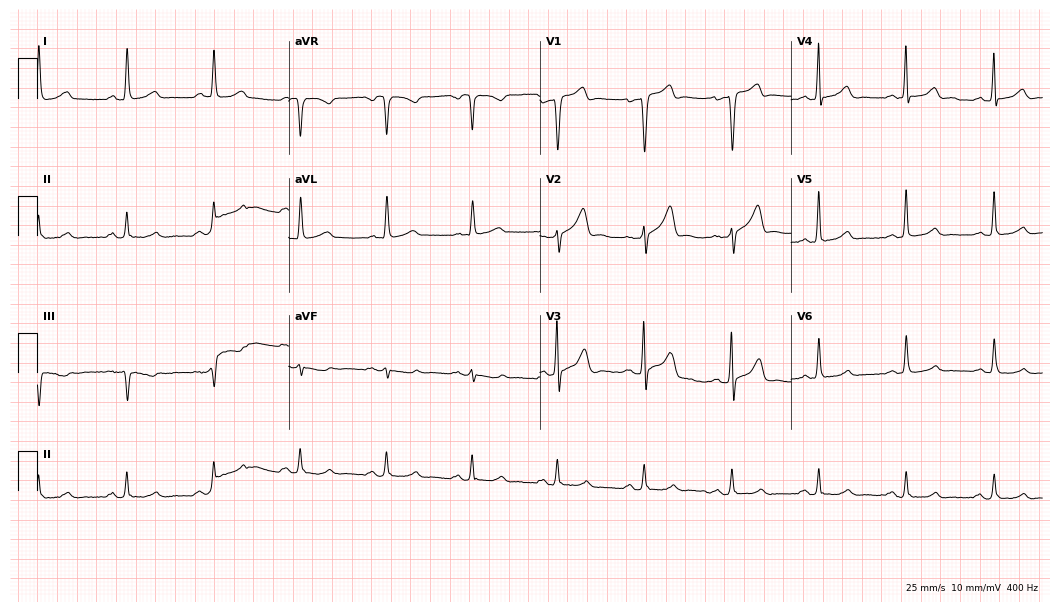
12-lead ECG from a man, 57 years old. No first-degree AV block, right bundle branch block (RBBB), left bundle branch block (LBBB), sinus bradycardia, atrial fibrillation (AF) or sinus tachycardia recorded for this tracing. Only these six findings were labelled.